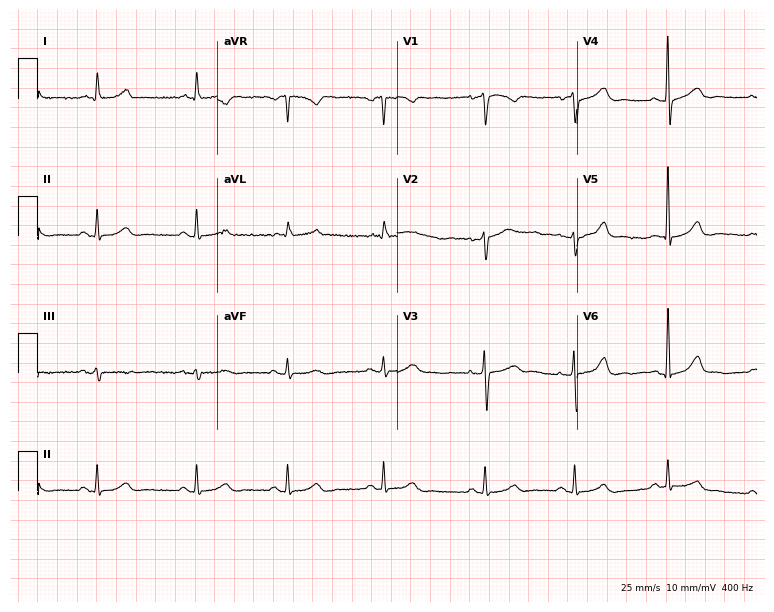
Electrocardiogram, a 53-year-old female patient. Overall reading on record: normal ECG.